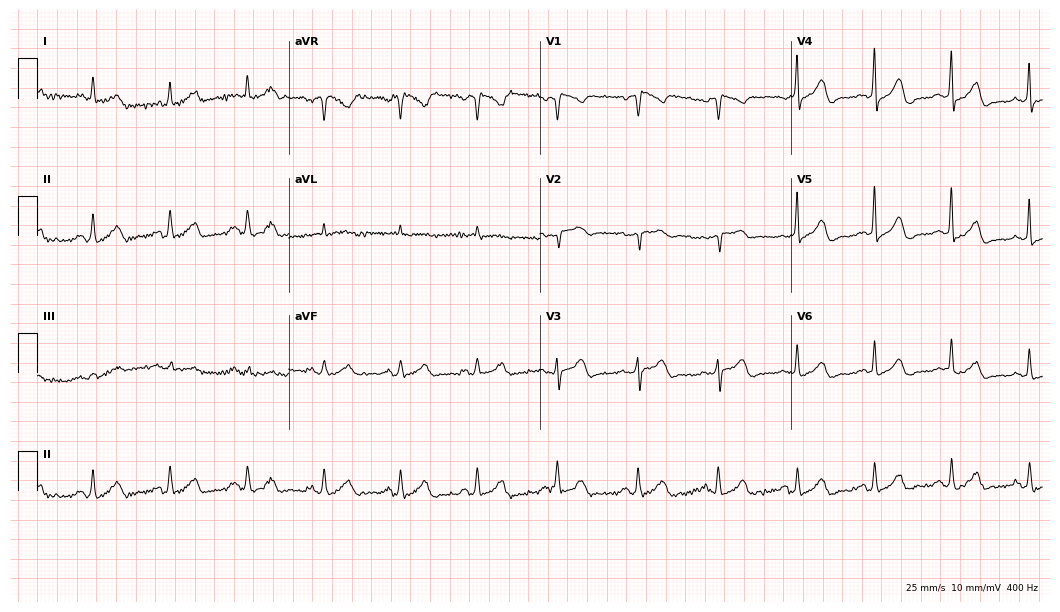
Electrocardiogram, a 70-year-old female. Of the six screened findings (first-degree AV block, right bundle branch block, left bundle branch block, sinus bradycardia, atrial fibrillation, sinus tachycardia), none is recorded.